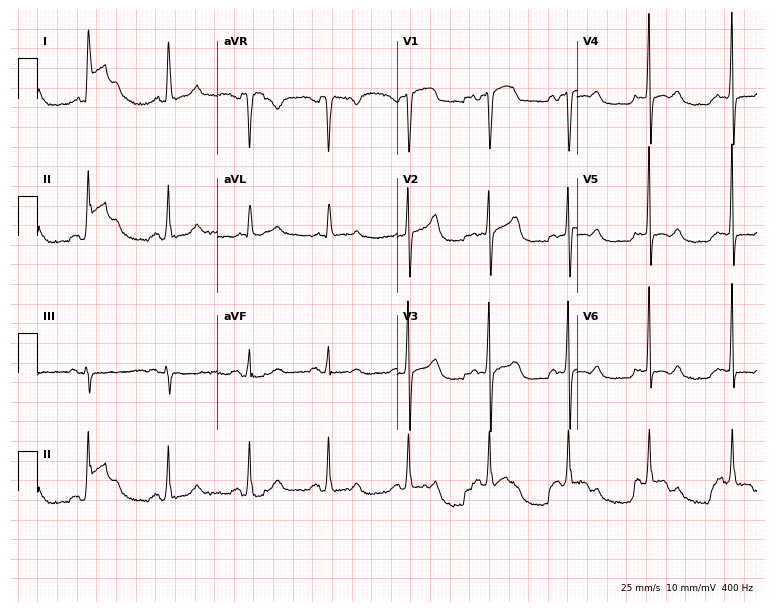
ECG (7.3-second recording at 400 Hz) — a female, 82 years old. Screened for six findings — first-degree AV block, right bundle branch block, left bundle branch block, sinus bradycardia, atrial fibrillation, sinus tachycardia — none is recorded. Other findings, if any, are not listed.